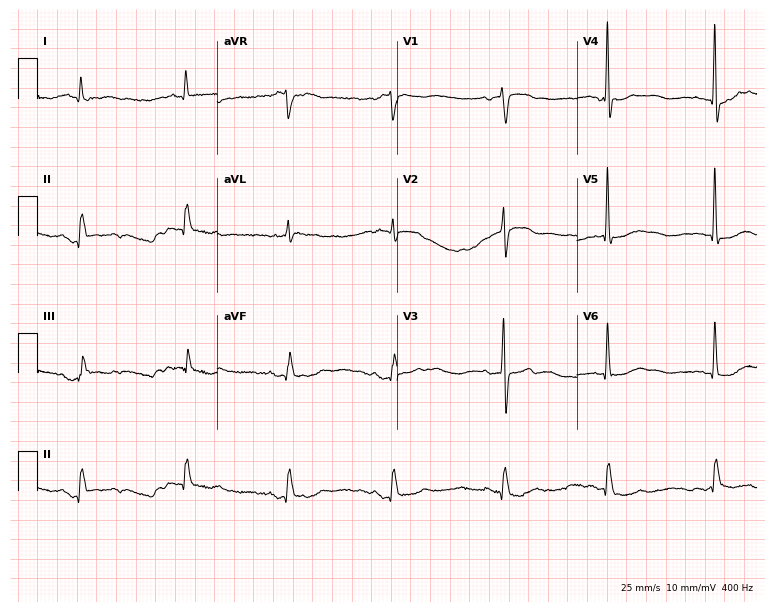
12-lead ECG from an 80-year-old male. Screened for six findings — first-degree AV block, right bundle branch block, left bundle branch block, sinus bradycardia, atrial fibrillation, sinus tachycardia — none is recorded.